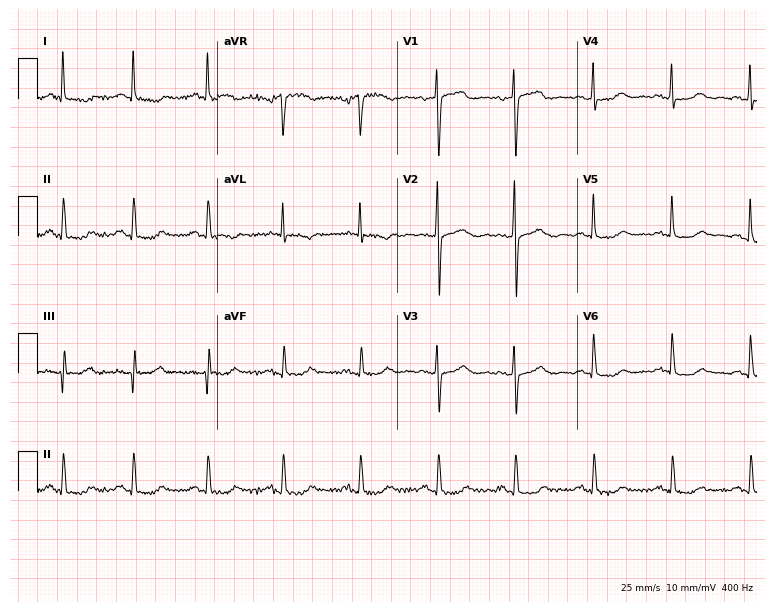
Resting 12-lead electrocardiogram. Patient: a 77-year-old female. Read as a normal ECG.